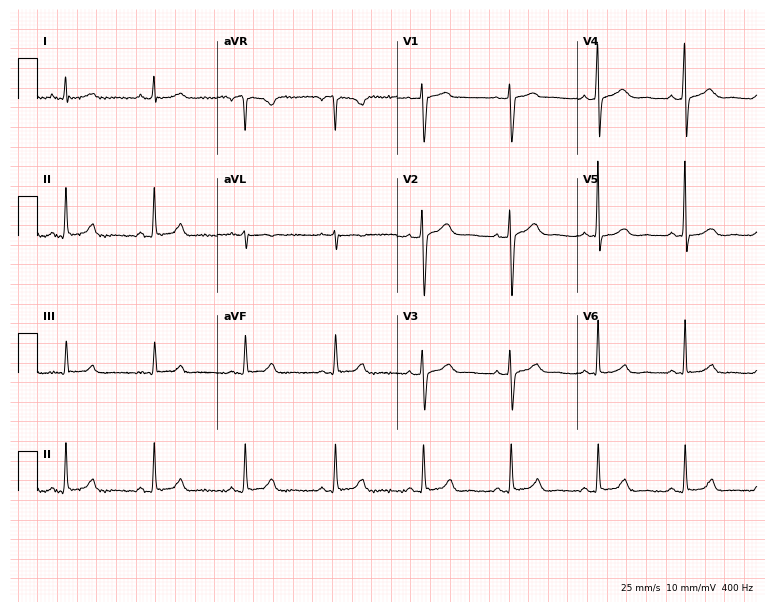
Electrocardiogram (7.3-second recording at 400 Hz), a 46-year-old female. Of the six screened findings (first-degree AV block, right bundle branch block, left bundle branch block, sinus bradycardia, atrial fibrillation, sinus tachycardia), none is recorded.